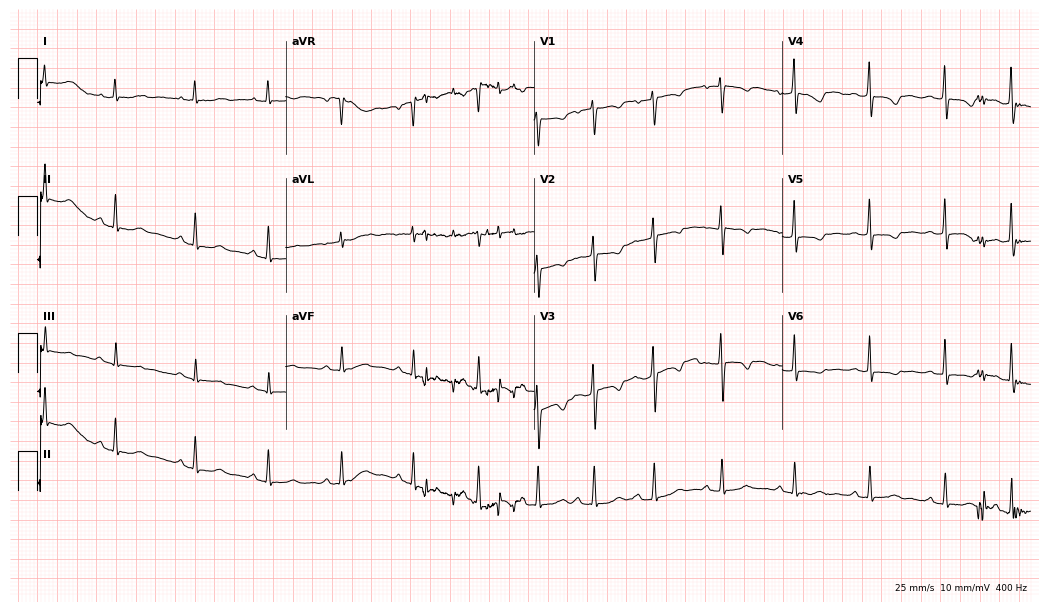
Electrocardiogram (10.1-second recording at 400 Hz), a female, 19 years old. Of the six screened findings (first-degree AV block, right bundle branch block, left bundle branch block, sinus bradycardia, atrial fibrillation, sinus tachycardia), none is recorded.